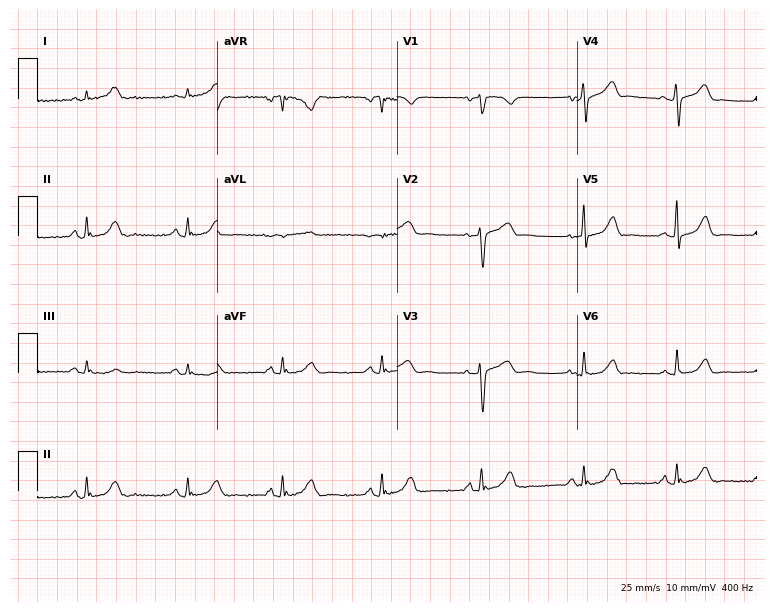
ECG — a female patient, 48 years old. Screened for six findings — first-degree AV block, right bundle branch block (RBBB), left bundle branch block (LBBB), sinus bradycardia, atrial fibrillation (AF), sinus tachycardia — none is recorded.